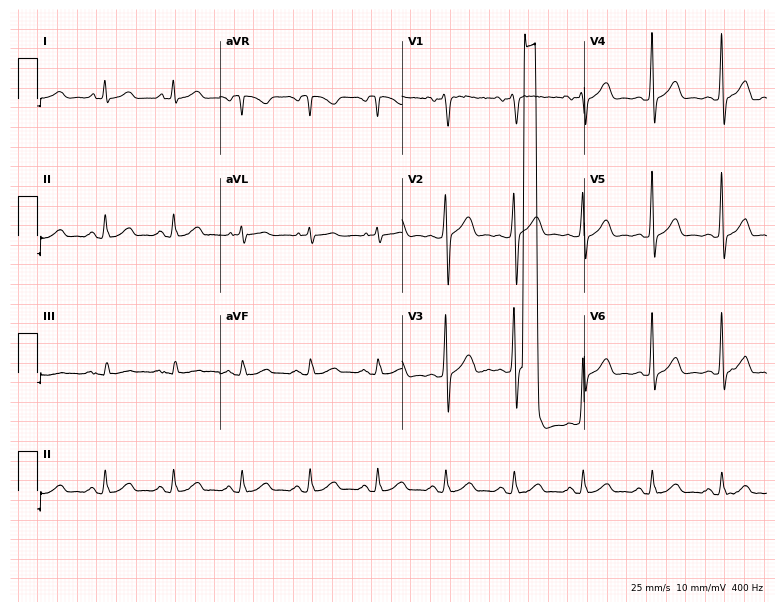
ECG (7.4-second recording at 400 Hz) — a male patient, 51 years old. Screened for six findings — first-degree AV block, right bundle branch block, left bundle branch block, sinus bradycardia, atrial fibrillation, sinus tachycardia — none is recorded.